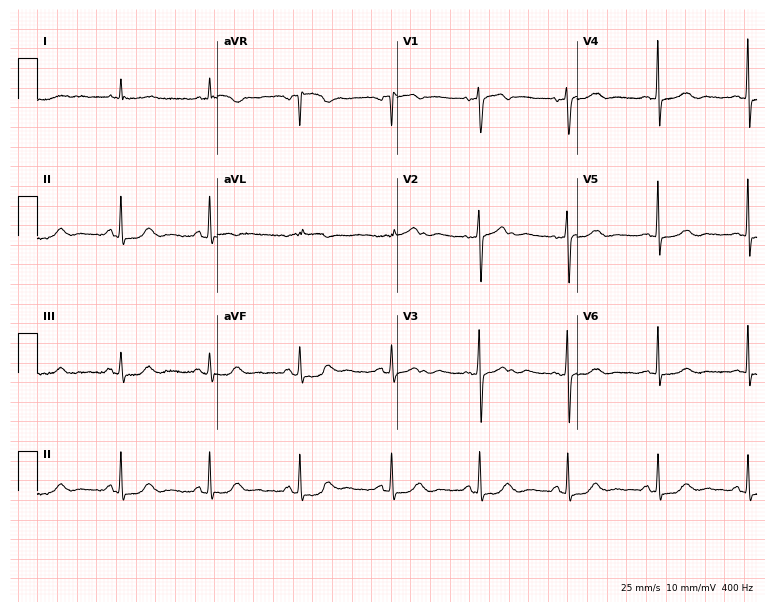
Standard 12-lead ECG recorded from a 79-year-old female patient (7.3-second recording at 400 Hz). Read as a normal ECG.